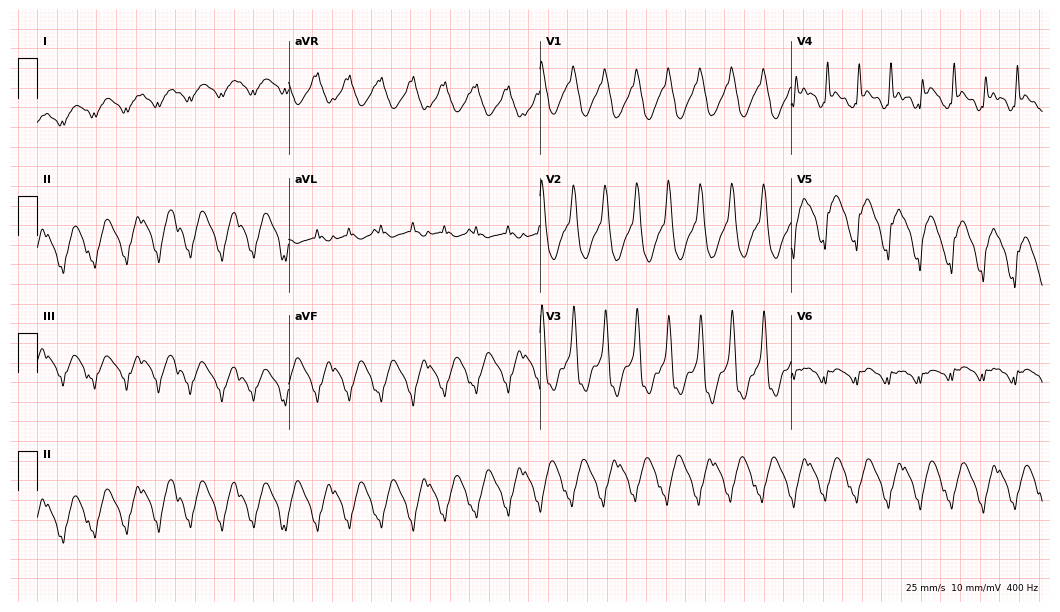
12-lead ECG from a 75-year-old woman. Findings include right bundle branch block (RBBB), sinus tachycardia (a sinus rate of 100 beats per minute or more).